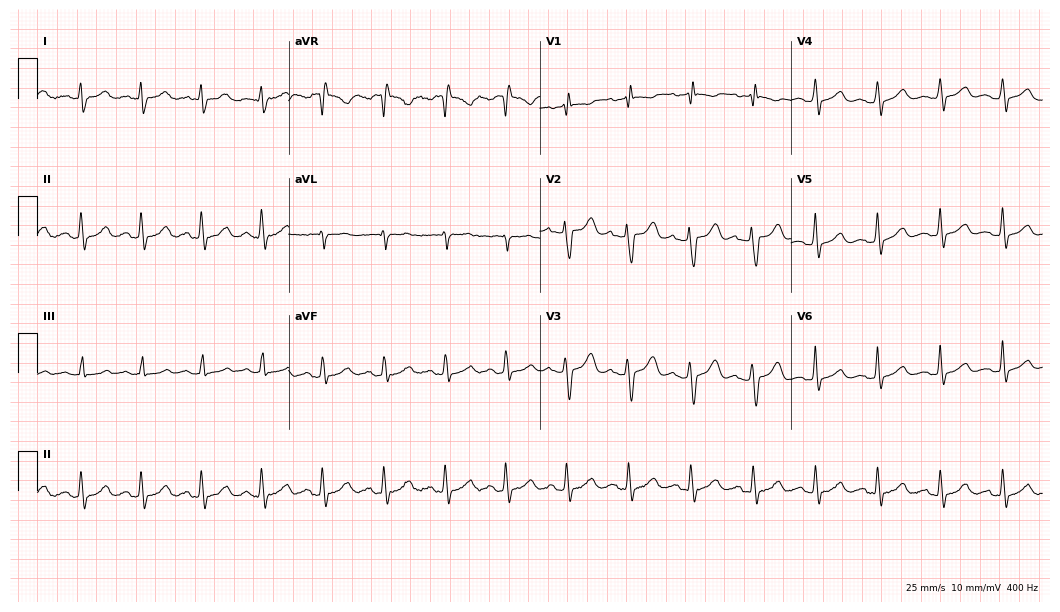
ECG — a 44-year-old female patient. Labelled as a normal ECG.